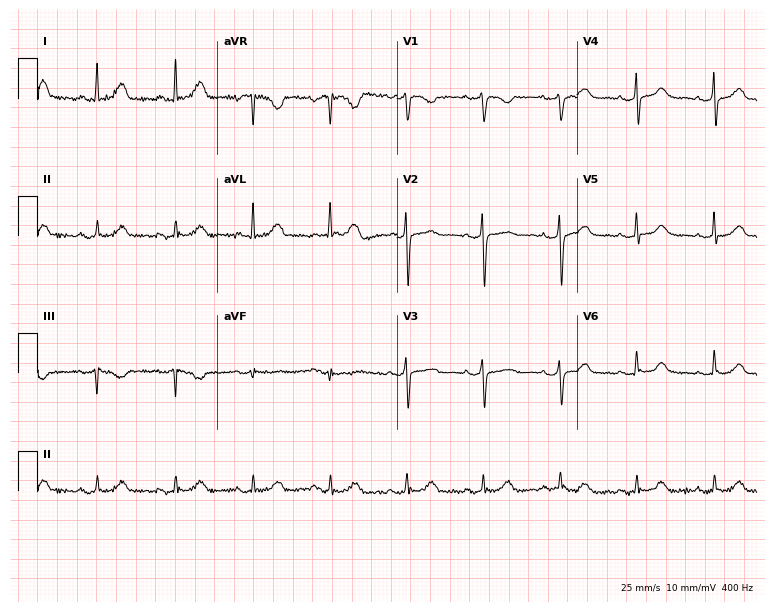
12-lead ECG from a woman, 46 years old. Recorded interpretation: within normal limits.